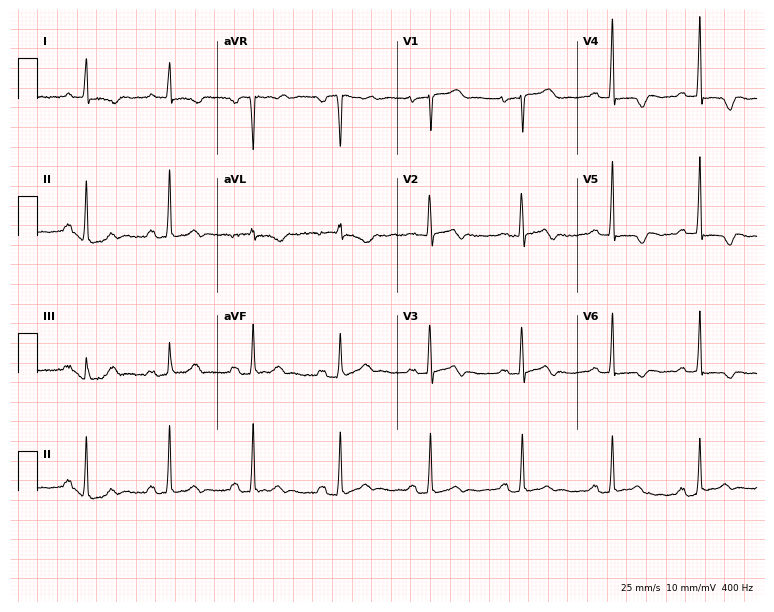
12-lead ECG from a 70-year-old woman (7.3-second recording at 400 Hz). Shows first-degree AV block.